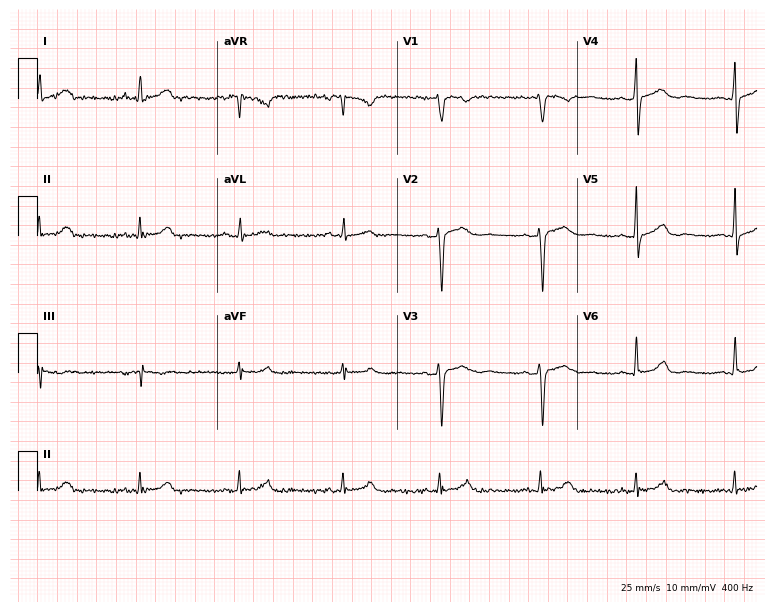
Electrocardiogram, a 30-year-old female. Of the six screened findings (first-degree AV block, right bundle branch block (RBBB), left bundle branch block (LBBB), sinus bradycardia, atrial fibrillation (AF), sinus tachycardia), none is recorded.